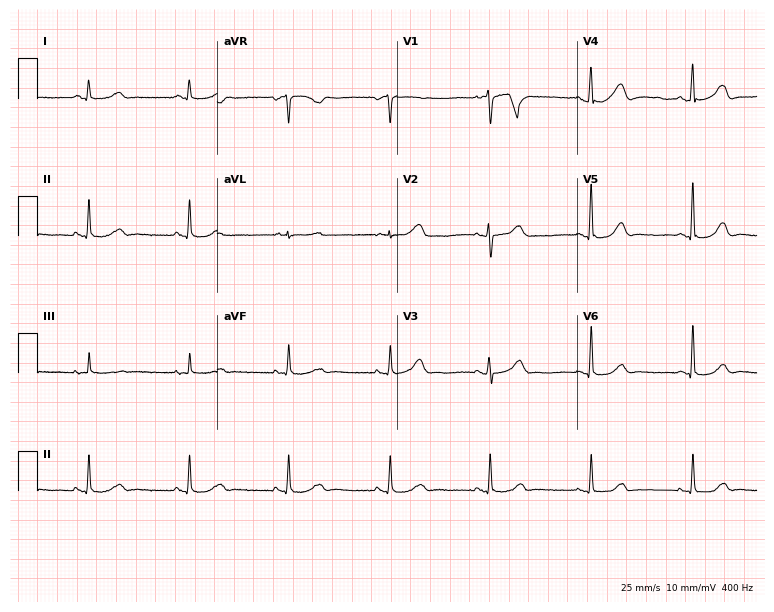
Resting 12-lead electrocardiogram (7.3-second recording at 400 Hz). Patient: a 58-year-old woman. Read as a normal ECG.